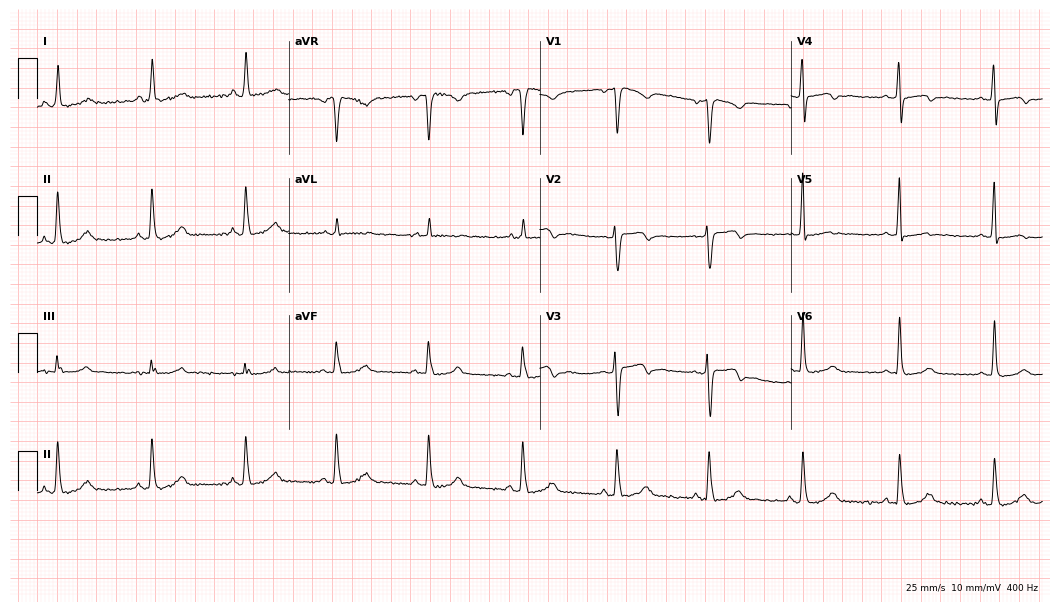
12-lead ECG from a 62-year-old female. No first-degree AV block, right bundle branch block (RBBB), left bundle branch block (LBBB), sinus bradycardia, atrial fibrillation (AF) or sinus tachycardia recorded for this tracing. Only these six findings were labelled.